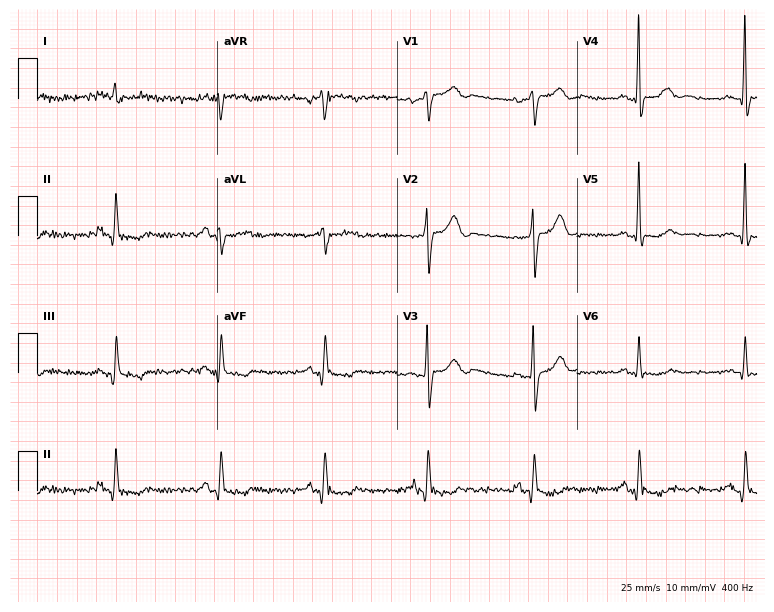
Electrocardiogram (7.3-second recording at 400 Hz), a 76-year-old male patient. Overall reading on record: normal ECG.